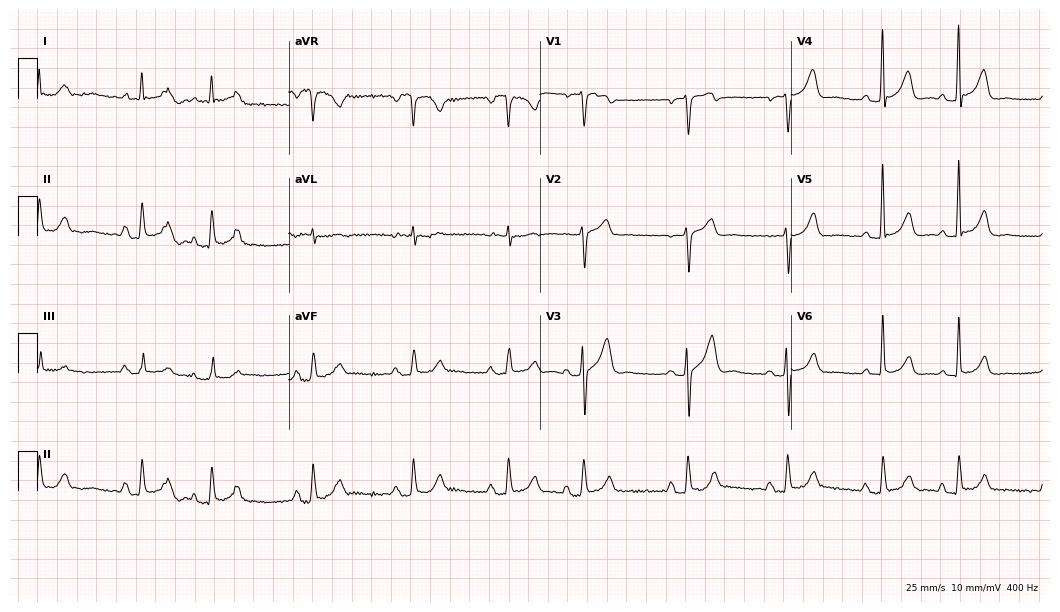
ECG — a male patient, 59 years old. Labelled as a normal ECG.